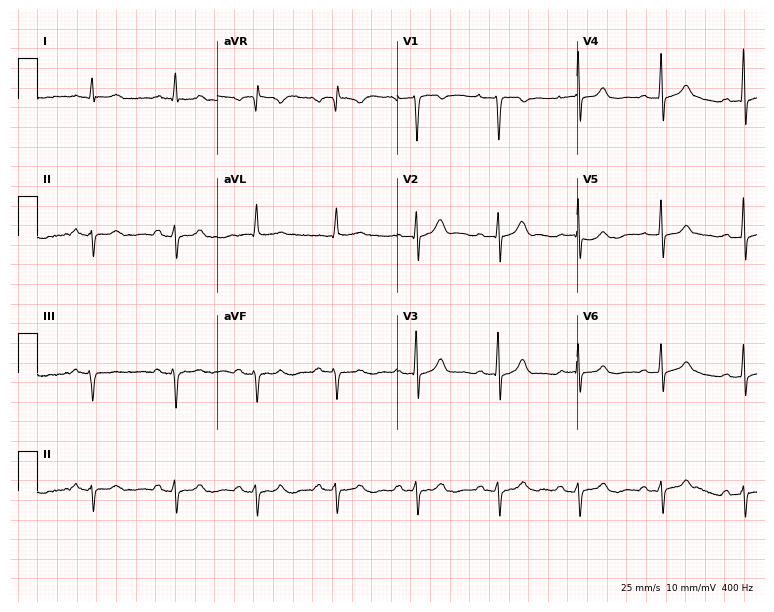
Electrocardiogram (7.3-second recording at 400 Hz), a 55-year-old female patient. Of the six screened findings (first-degree AV block, right bundle branch block, left bundle branch block, sinus bradycardia, atrial fibrillation, sinus tachycardia), none is recorded.